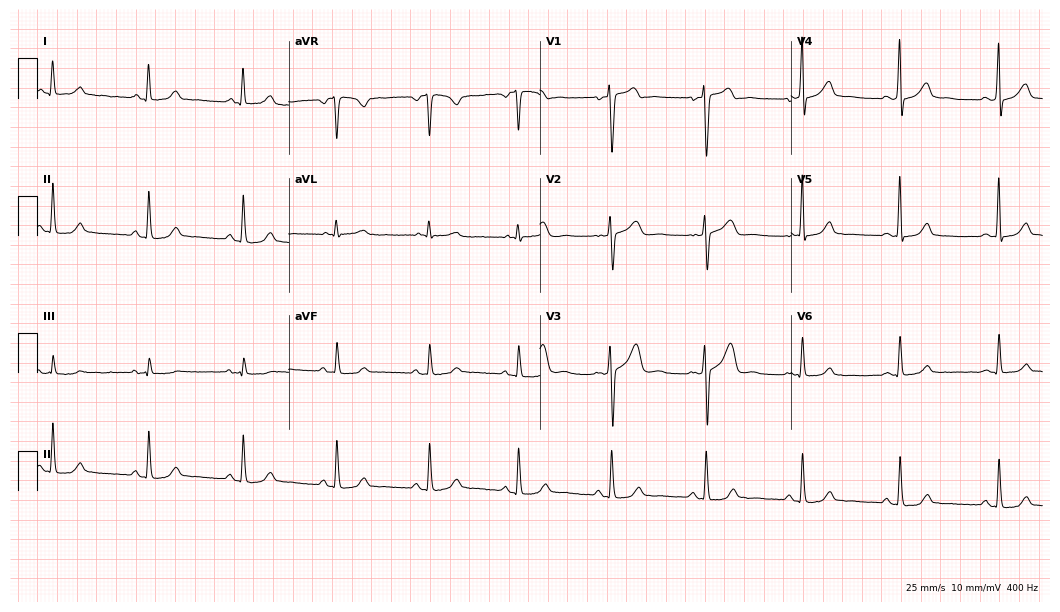
Standard 12-lead ECG recorded from a female patient, 39 years old (10.2-second recording at 400 Hz). Read as a normal ECG.